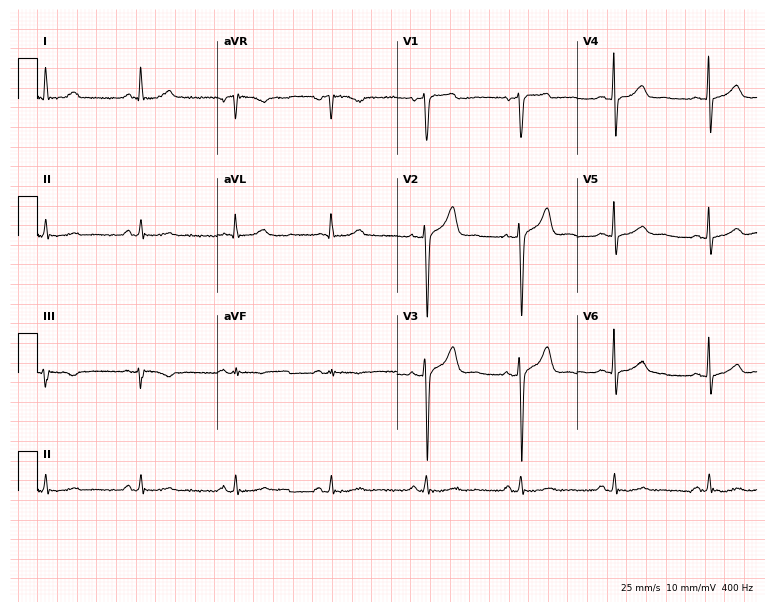
Electrocardiogram (7.3-second recording at 400 Hz), a male, 54 years old. Overall reading on record: normal ECG.